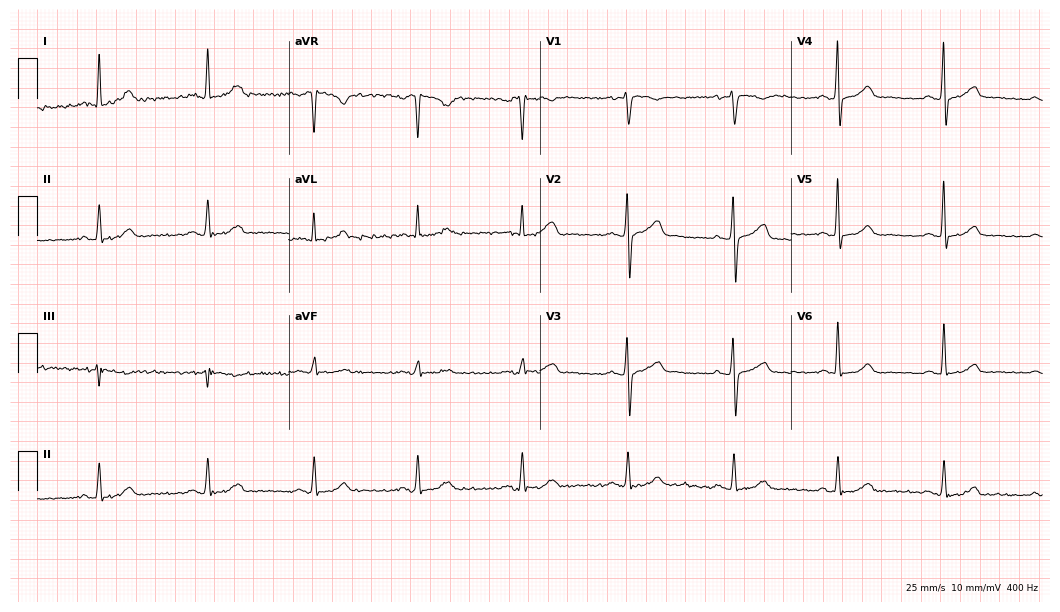
Standard 12-lead ECG recorded from a 49-year-old female patient (10.2-second recording at 400 Hz). Read as a normal ECG.